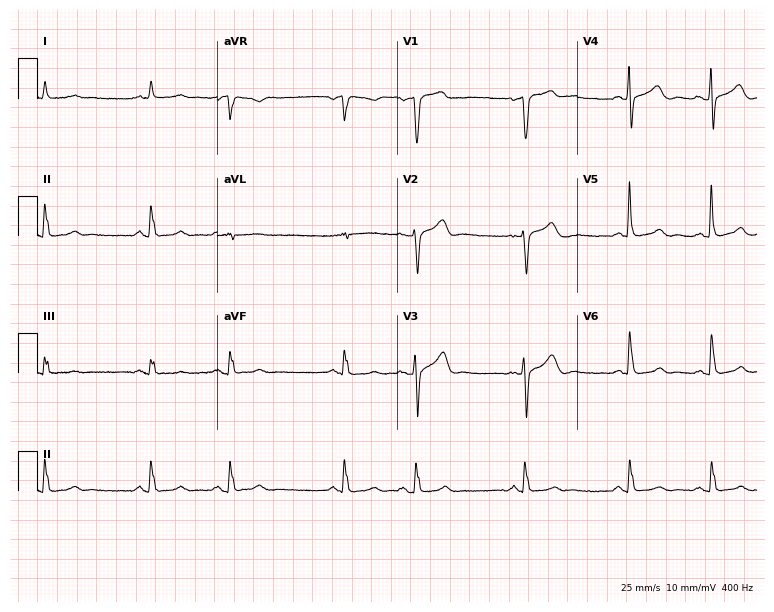
Electrocardiogram (7.3-second recording at 400 Hz), a 79-year-old male patient. Of the six screened findings (first-degree AV block, right bundle branch block (RBBB), left bundle branch block (LBBB), sinus bradycardia, atrial fibrillation (AF), sinus tachycardia), none is recorded. Findings outside these six are not listed.